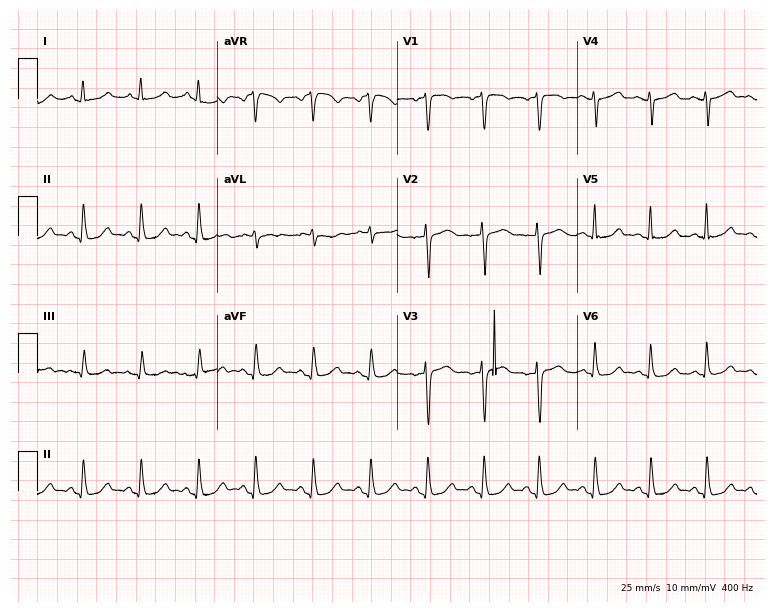
Electrocardiogram, a female, 46 years old. Interpretation includes sinus tachycardia (a sinus rate of 100 beats per minute or more).